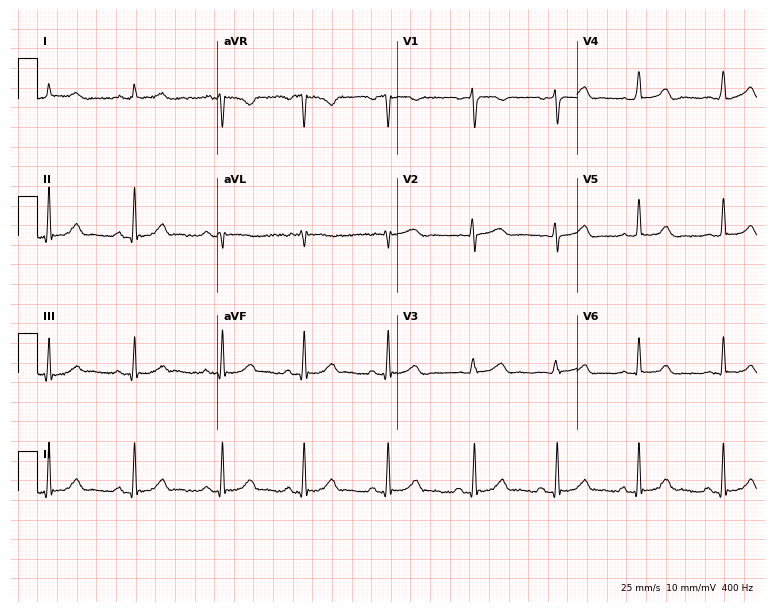
12-lead ECG from a 34-year-old female patient (7.3-second recording at 400 Hz). No first-degree AV block, right bundle branch block, left bundle branch block, sinus bradycardia, atrial fibrillation or sinus tachycardia recorded for this tracing. Only these six findings were labelled.